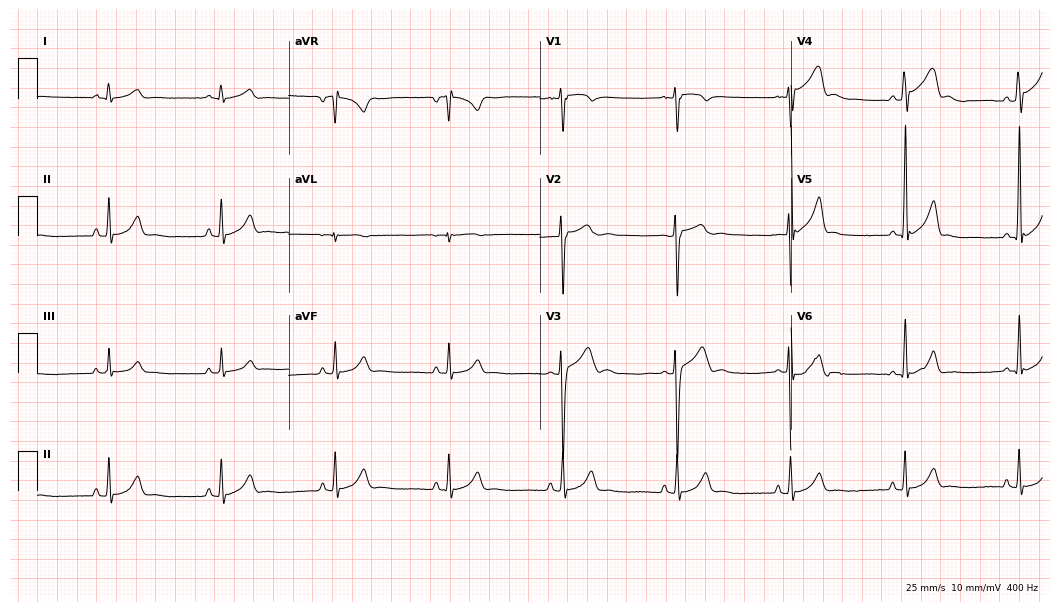
Electrocardiogram, a 17-year-old man. Of the six screened findings (first-degree AV block, right bundle branch block, left bundle branch block, sinus bradycardia, atrial fibrillation, sinus tachycardia), none is recorded. Only these six findings were labelled.